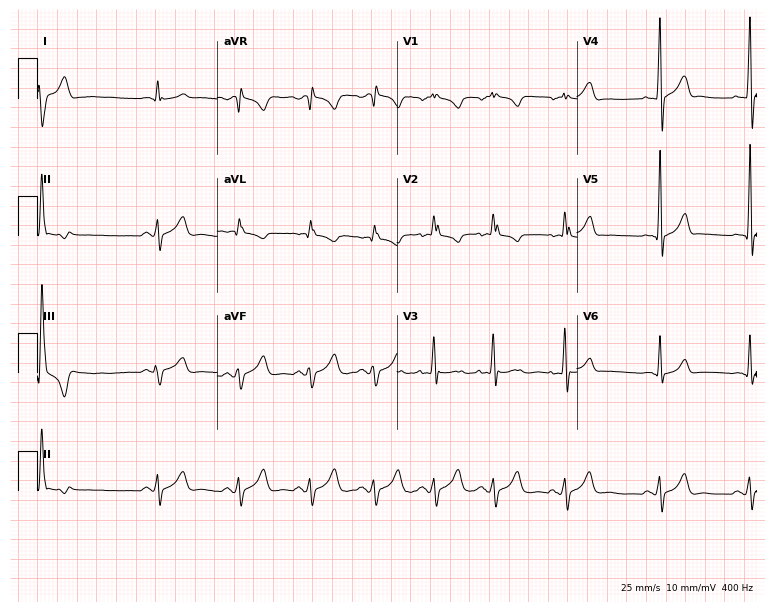
Electrocardiogram (7.3-second recording at 400 Hz), an 18-year-old man. Of the six screened findings (first-degree AV block, right bundle branch block, left bundle branch block, sinus bradycardia, atrial fibrillation, sinus tachycardia), none is recorded. Only these six findings were labelled.